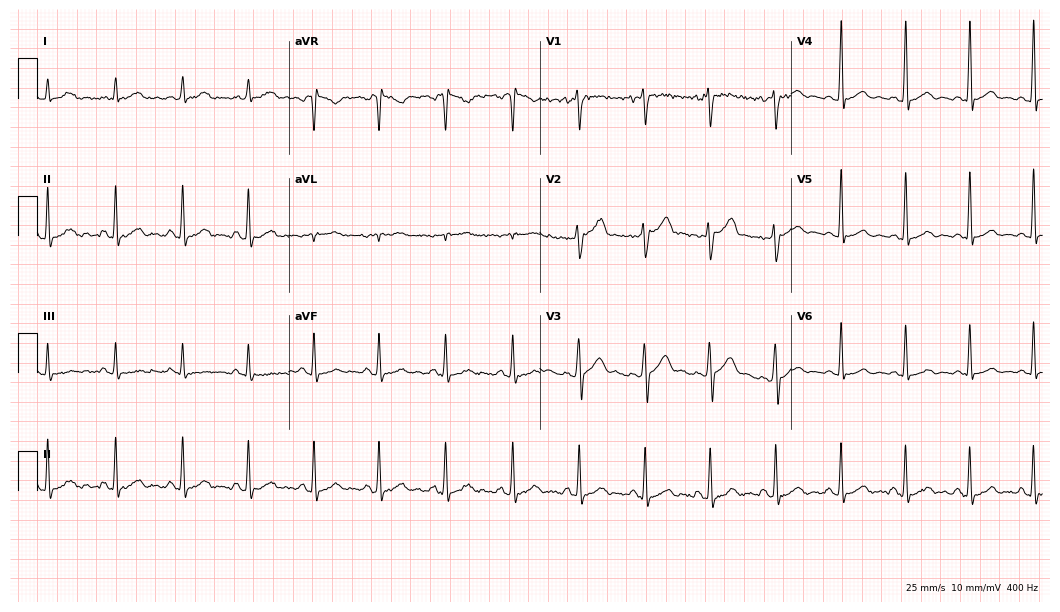
Electrocardiogram, a man, 28 years old. Overall reading on record: normal ECG.